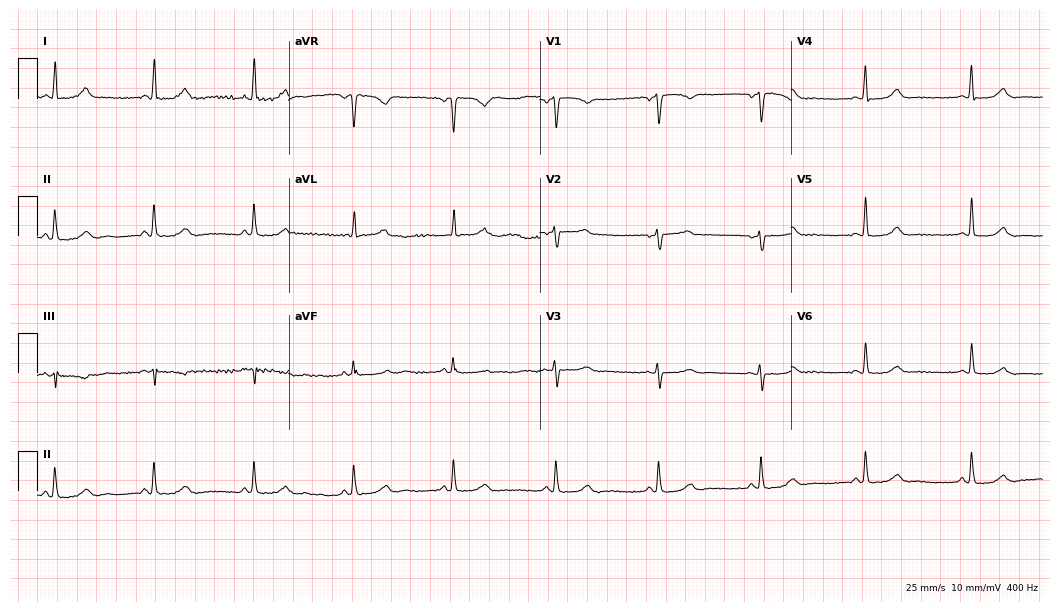
12-lead ECG from a female patient, 70 years old. No first-degree AV block, right bundle branch block, left bundle branch block, sinus bradycardia, atrial fibrillation or sinus tachycardia recorded for this tracing.